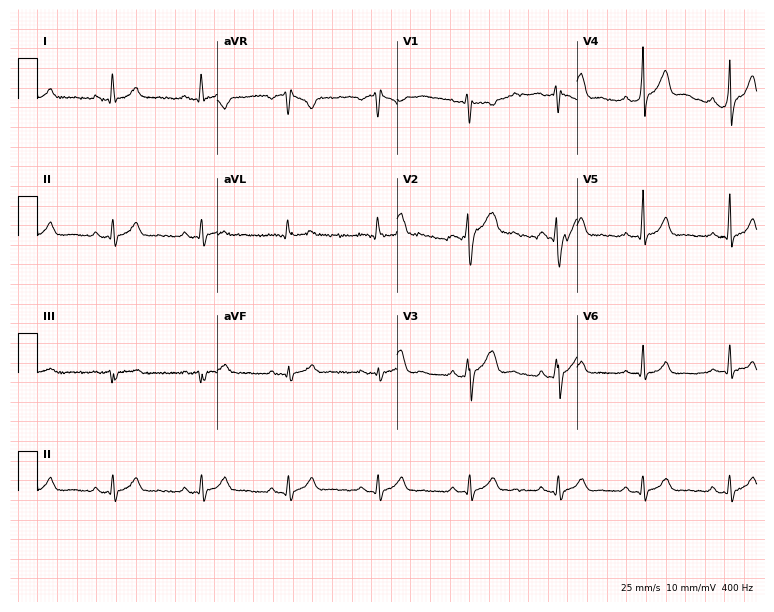
12-lead ECG from a 24-year-old man. No first-degree AV block, right bundle branch block (RBBB), left bundle branch block (LBBB), sinus bradycardia, atrial fibrillation (AF) or sinus tachycardia recorded for this tracing.